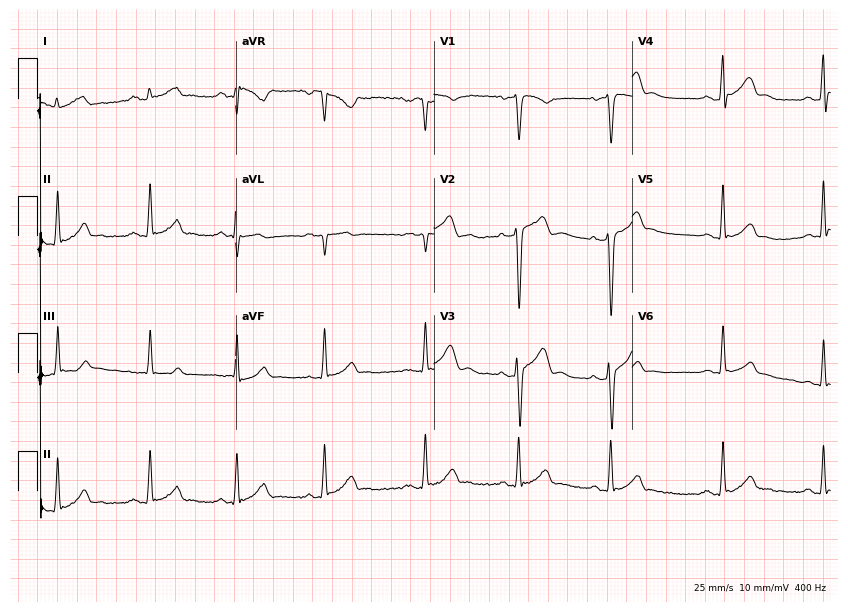
12-lead ECG (8.1-second recording at 400 Hz) from a male, 29 years old. Screened for six findings — first-degree AV block, right bundle branch block, left bundle branch block, sinus bradycardia, atrial fibrillation, sinus tachycardia — none is recorded.